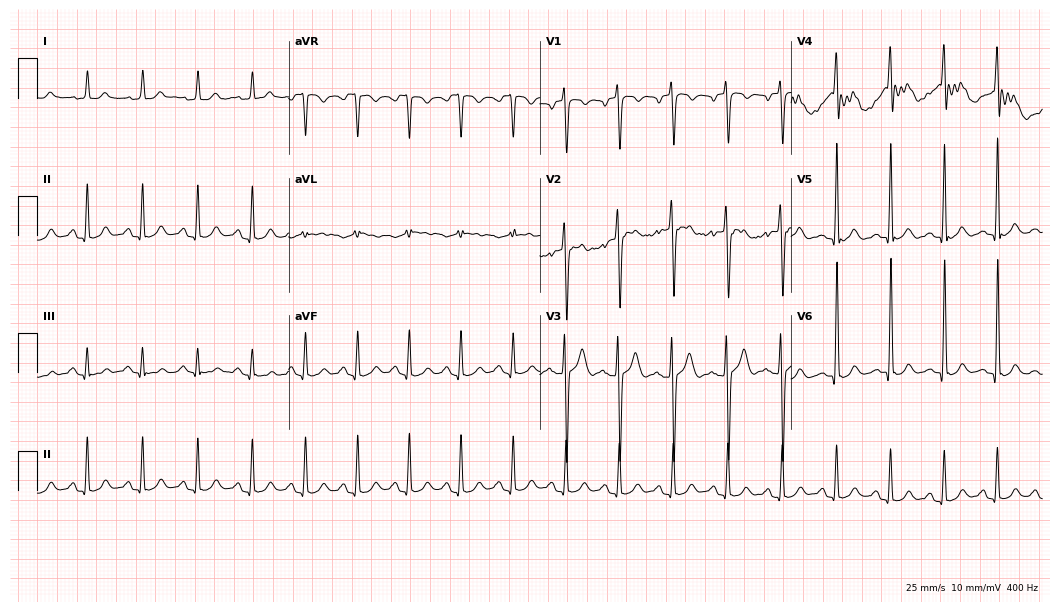
12-lead ECG (10.2-second recording at 400 Hz) from a 21-year-old male. Findings include sinus tachycardia (a sinus rate of 100 beats per minute or more).